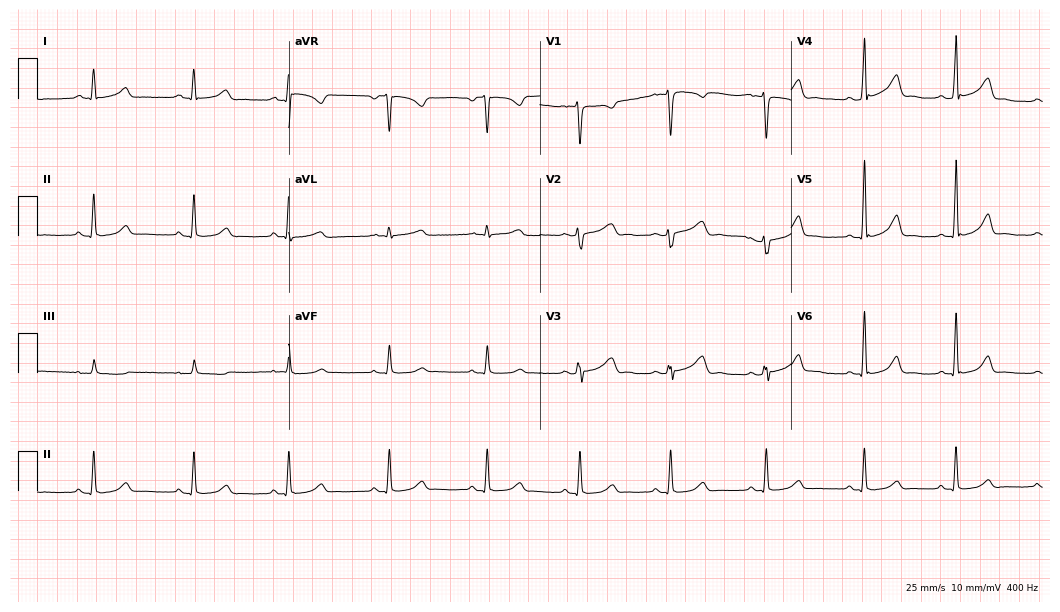
12-lead ECG from a 36-year-old female (10.2-second recording at 400 Hz). Recorded interpretation: within normal limits.